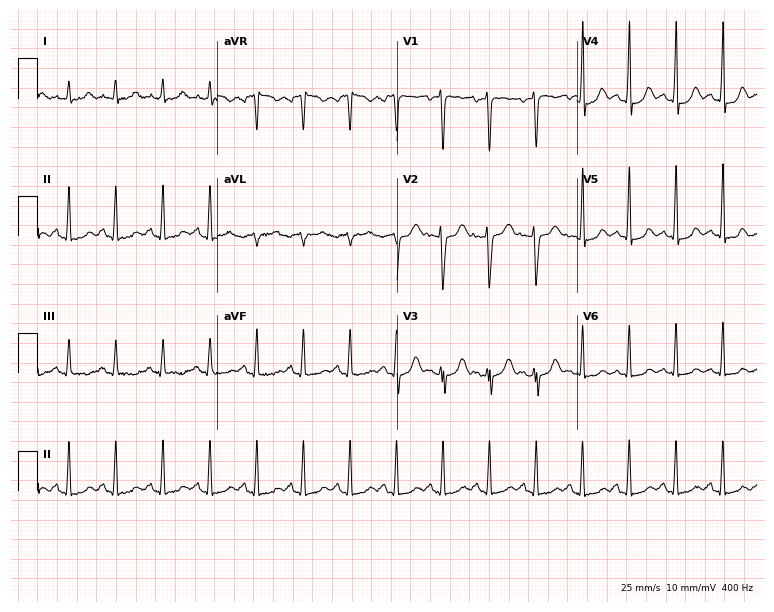
12-lead ECG from a female patient, 34 years old. Findings include sinus tachycardia (a sinus rate of 100 beats per minute or more).